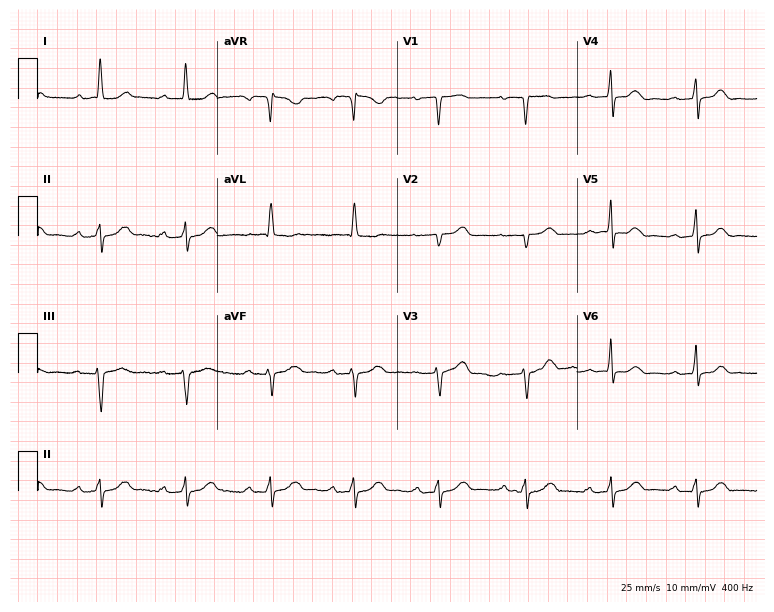
ECG (7.3-second recording at 400 Hz) — a 58-year-old female patient. Screened for six findings — first-degree AV block, right bundle branch block, left bundle branch block, sinus bradycardia, atrial fibrillation, sinus tachycardia — none is recorded. Findings outside these six are not listed.